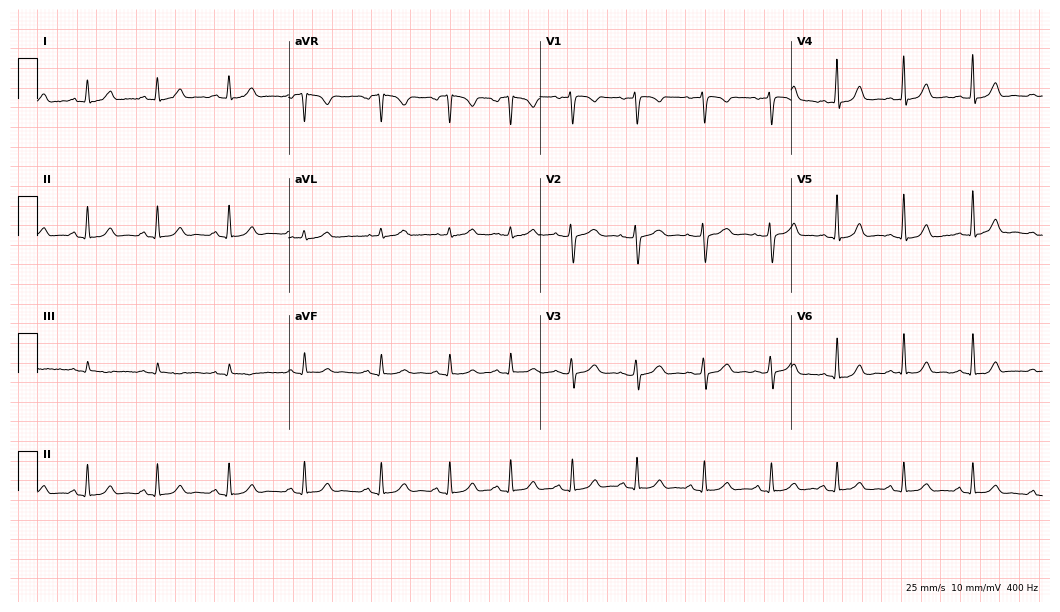
12-lead ECG from a woman, 44 years old. Recorded interpretation: within normal limits.